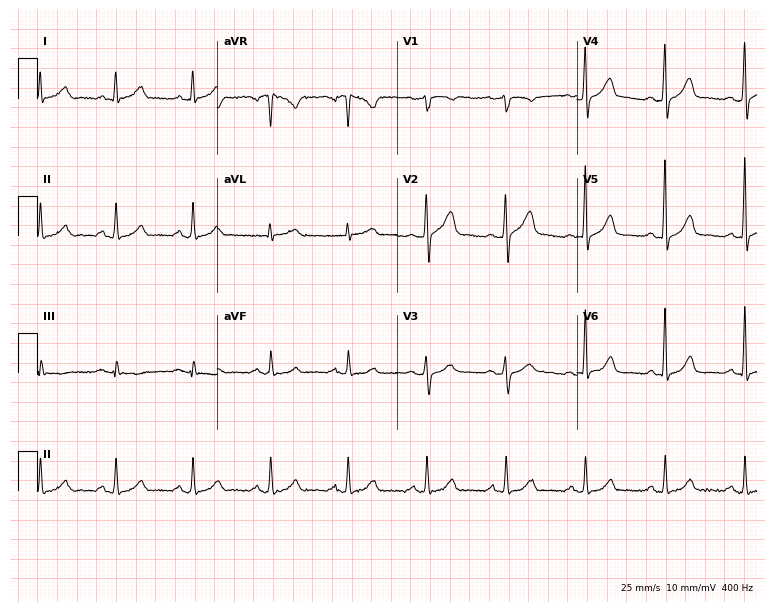
ECG (7.3-second recording at 400 Hz) — a male patient, 48 years old. Labelled as a normal ECG.